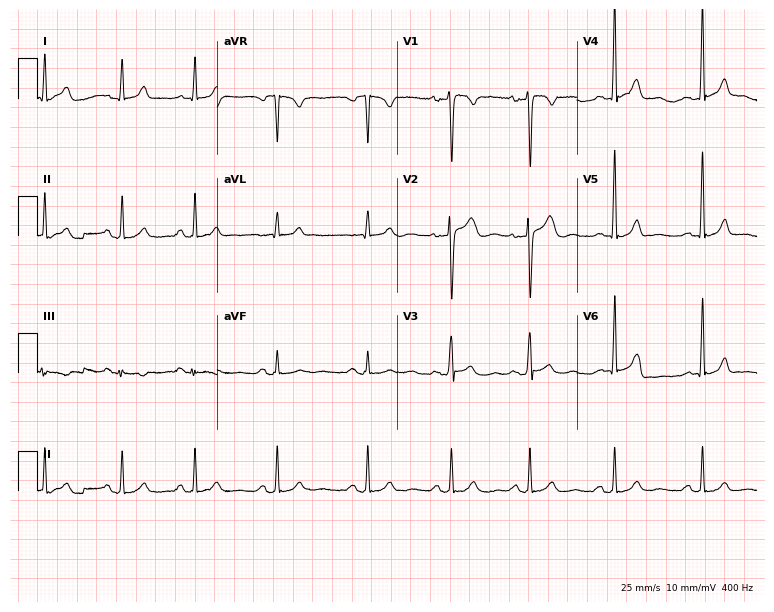
Standard 12-lead ECG recorded from a male, 29 years old (7.3-second recording at 400 Hz). Read as a normal ECG.